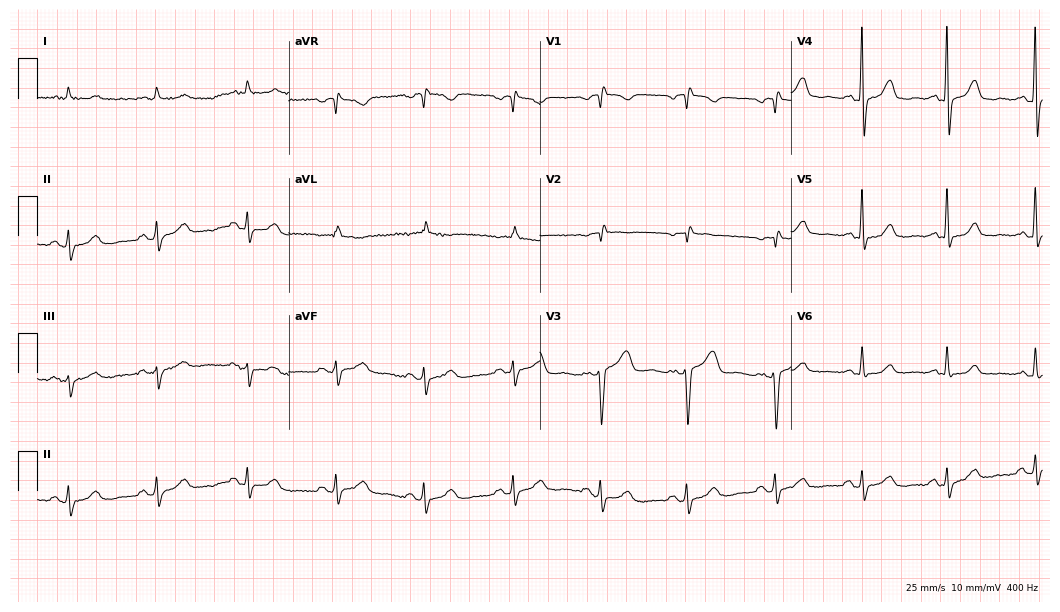
Standard 12-lead ECG recorded from a female patient, 66 years old. None of these six findings is recorded: first-degree AV block, right bundle branch block, left bundle branch block, sinus bradycardia, atrial fibrillation, sinus tachycardia.